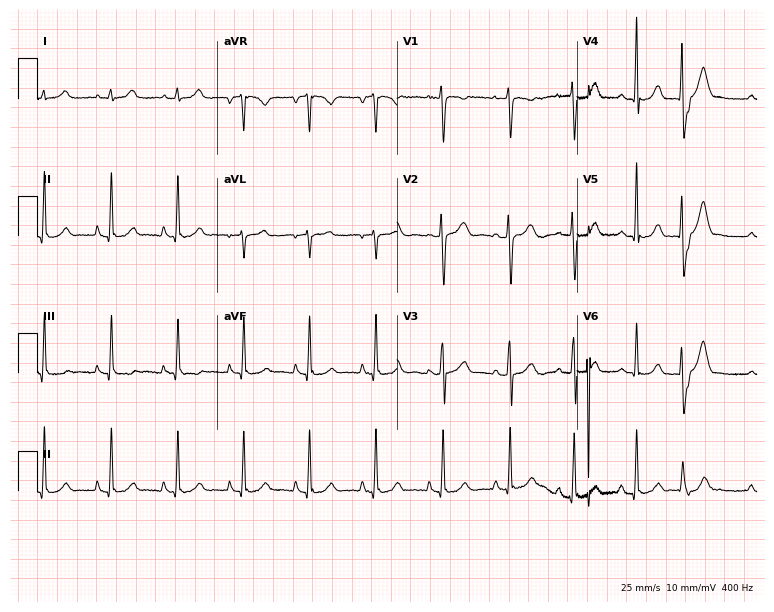
12-lead ECG from a female, 18 years old. Screened for six findings — first-degree AV block, right bundle branch block, left bundle branch block, sinus bradycardia, atrial fibrillation, sinus tachycardia — none is recorded.